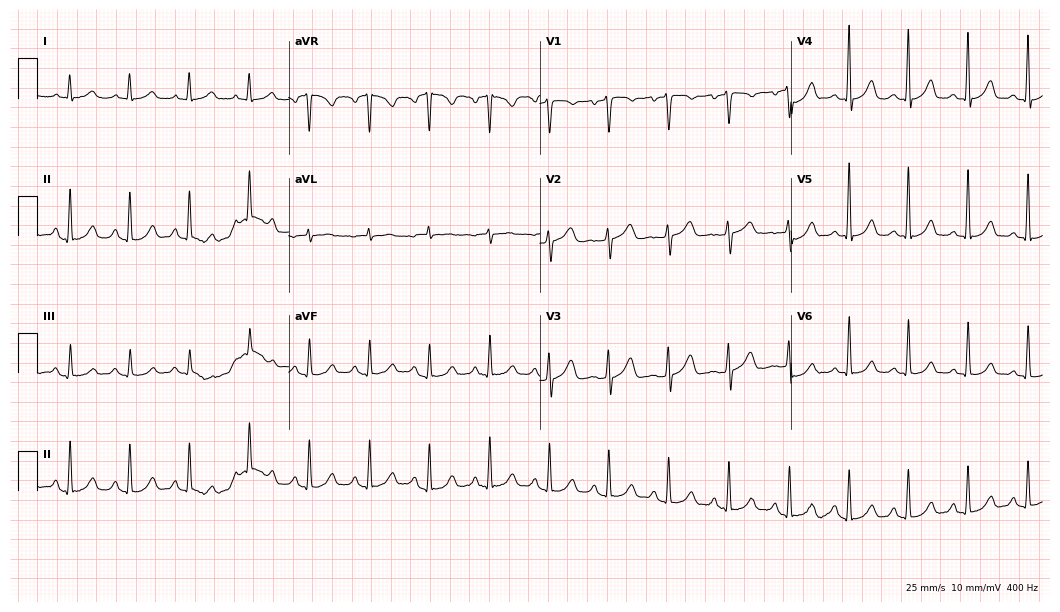
Standard 12-lead ECG recorded from a woman, 61 years old. Read as a normal ECG.